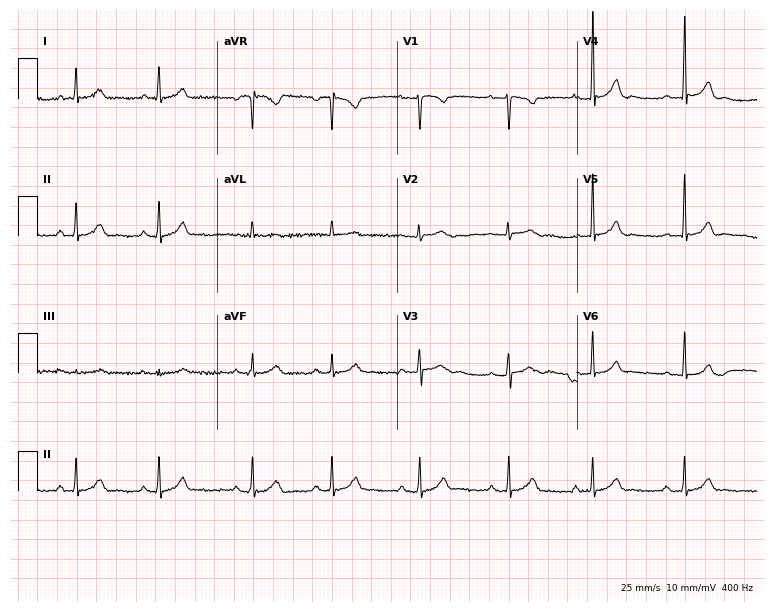
12-lead ECG from a 24-year-old female (7.3-second recording at 400 Hz). Recorded interpretation: within normal limits.